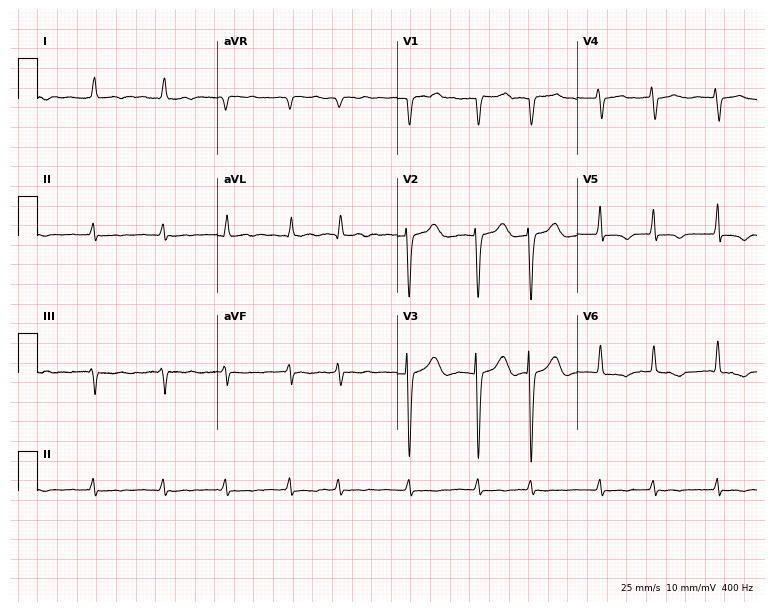
Resting 12-lead electrocardiogram (7.3-second recording at 400 Hz). Patient: a man, 84 years old. The tracing shows atrial fibrillation.